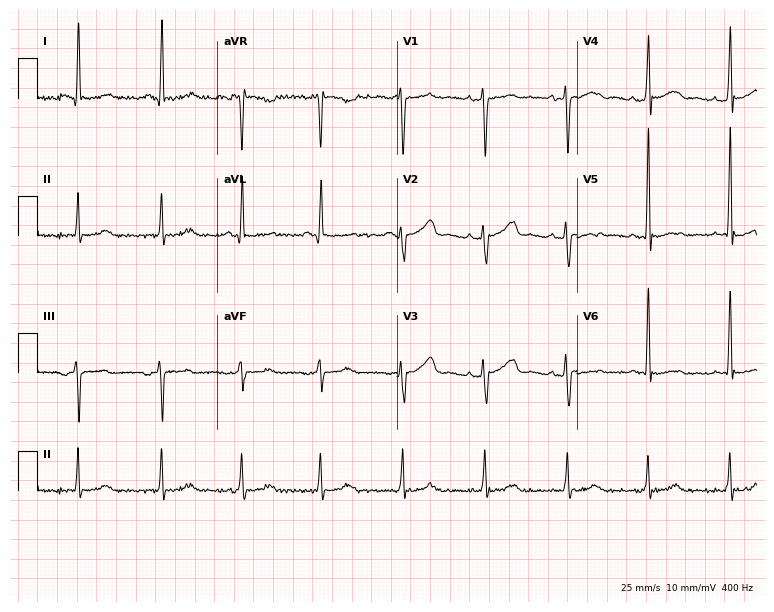
ECG — a female, 45 years old. Screened for six findings — first-degree AV block, right bundle branch block, left bundle branch block, sinus bradycardia, atrial fibrillation, sinus tachycardia — none is recorded.